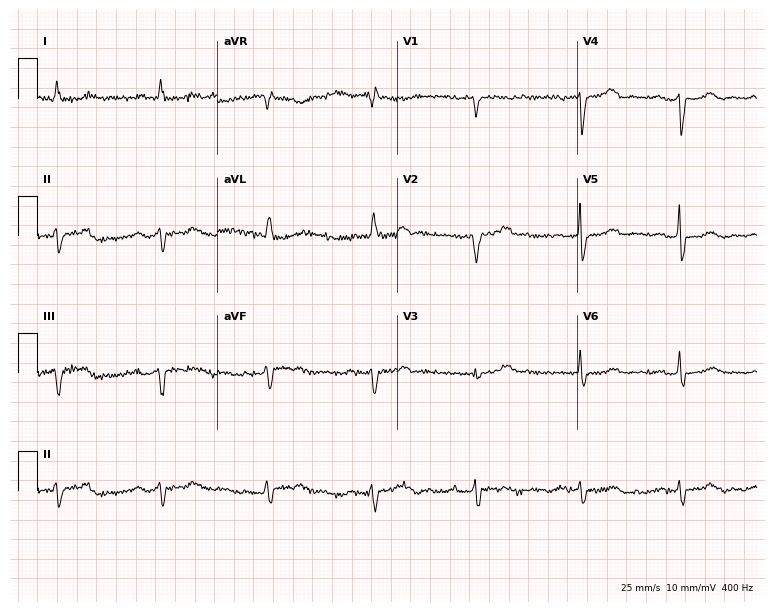
12-lead ECG (7.3-second recording at 400 Hz) from a 78-year-old man. Screened for six findings — first-degree AV block, right bundle branch block, left bundle branch block, sinus bradycardia, atrial fibrillation, sinus tachycardia — none is recorded.